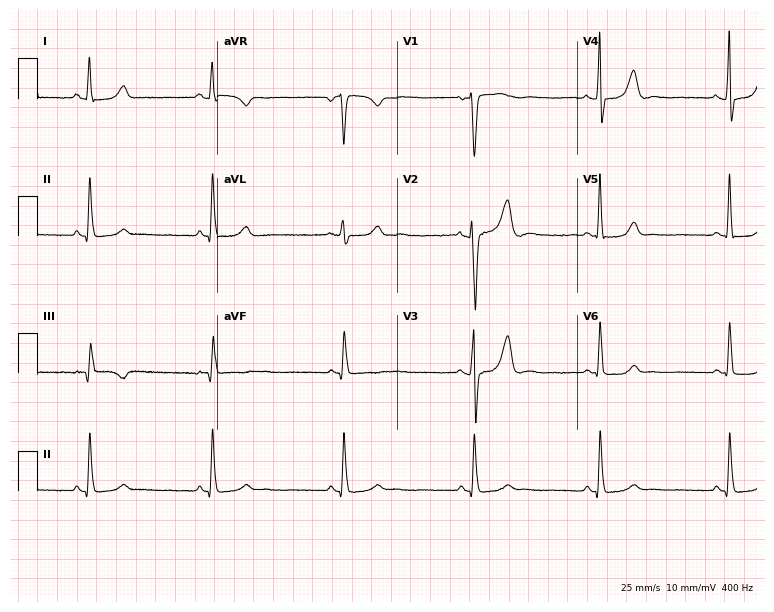
Resting 12-lead electrocardiogram (7.3-second recording at 400 Hz). Patient: a 50-year-old female. The tracing shows sinus bradycardia (a sinus rate of 50 beats per minute or less).